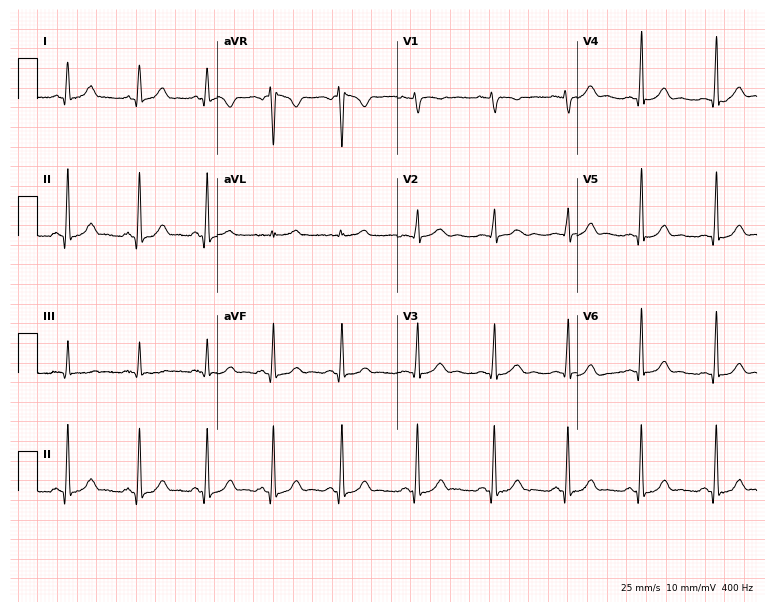
Electrocardiogram (7.3-second recording at 400 Hz), a 35-year-old woman. Overall reading on record: normal ECG.